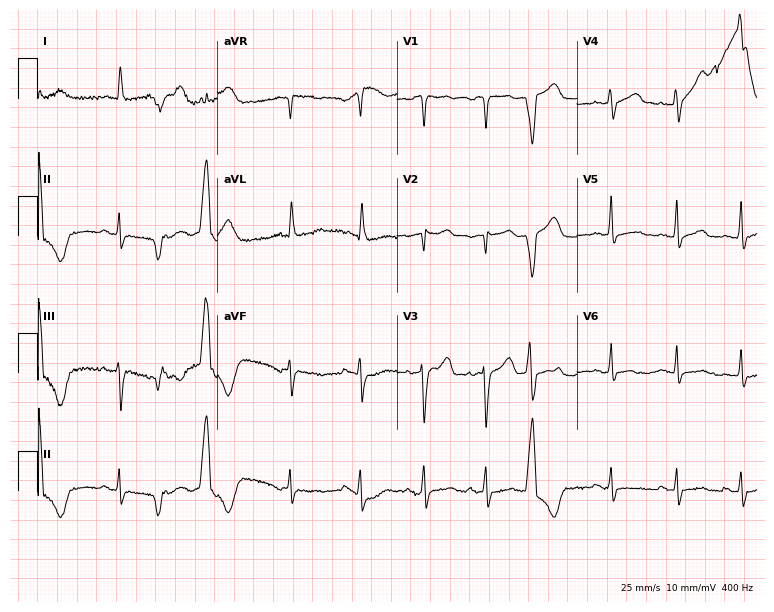
Standard 12-lead ECG recorded from a 72-year-old woman (7.3-second recording at 400 Hz). None of these six findings is recorded: first-degree AV block, right bundle branch block, left bundle branch block, sinus bradycardia, atrial fibrillation, sinus tachycardia.